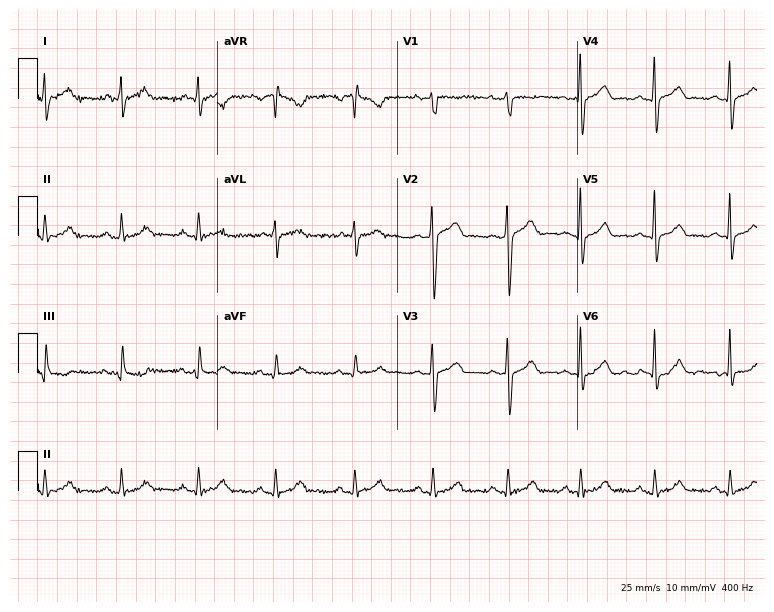
ECG — a male patient, 38 years old. Labelled as a normal ECG.